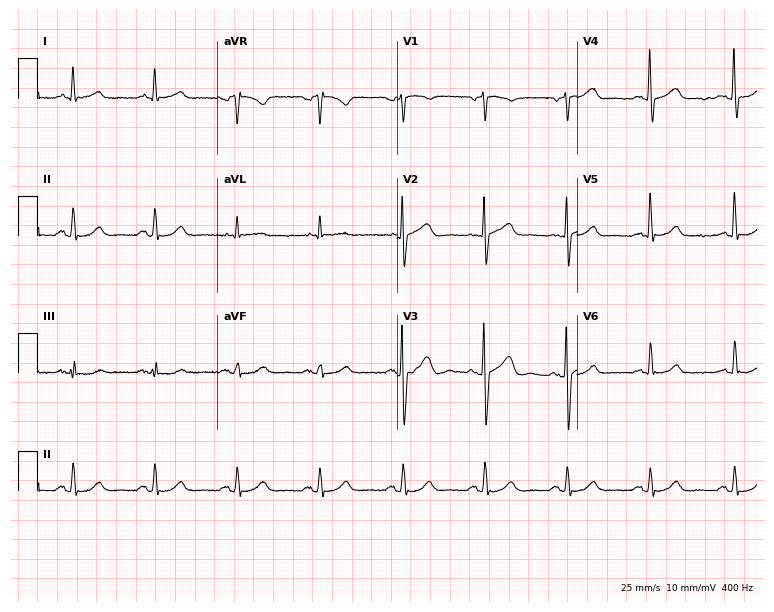
ECG — a 71-year-old male. Labelled as a normal ECG.